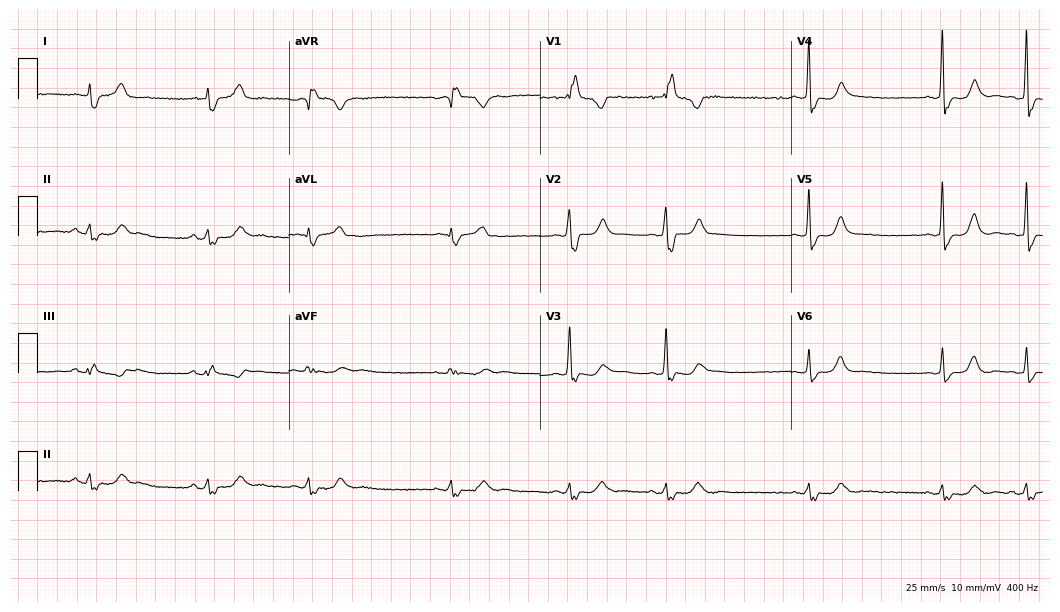
Electrocardiogram (10.2-second recording at 400 Hz), a woman, 51 years old. Of the six screened findings (first-degree AV block, right bundle branch block (RBBB), left bundle branch block (LBBB), sinus bradycardia, atrial fibrillation (AF), sinus tachycardia), none is recorded.